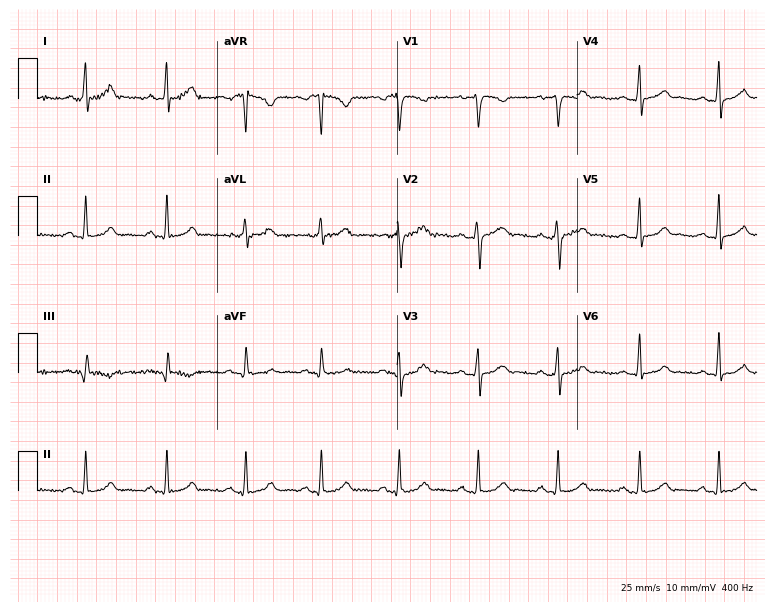
12-lead ECG from a 22-year-old female patient (7.3-second recording at 400 Hz). Recorded interpretation: within normal limits.